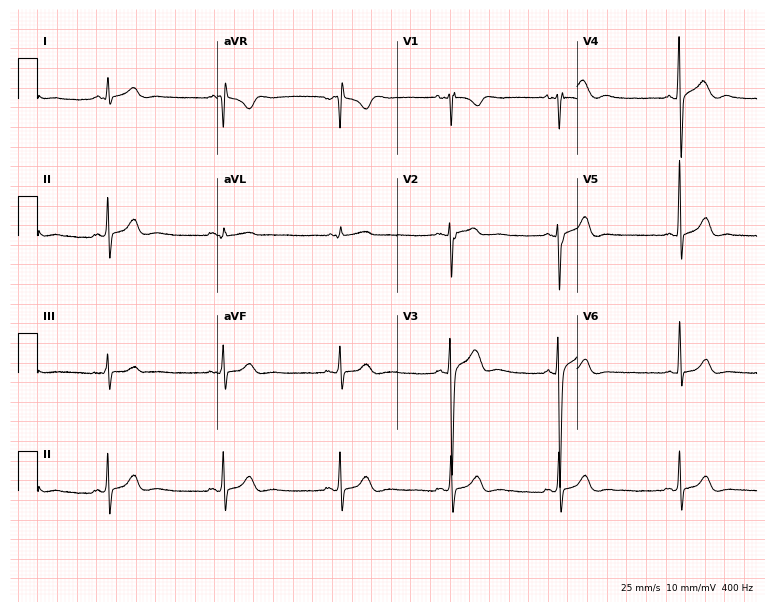
12-lead ECG (7.3-second recording at 400 Hz) from a 19-year-old male patient. Labelled as a normal ECG.